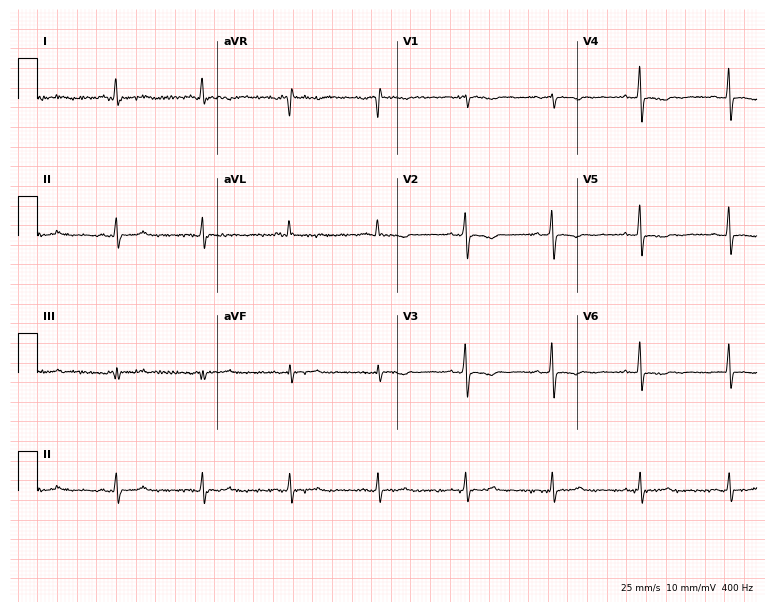
ECG — a woman, 78 years old. Screened for six findings — first-degree AV block, right bundle branch block (RBBB), left bundle branch block (LBBB), sinus bradycardia, atrial fibrillation (AF), sinus tachycardia — none is recorded. Only these six findings were labelled.